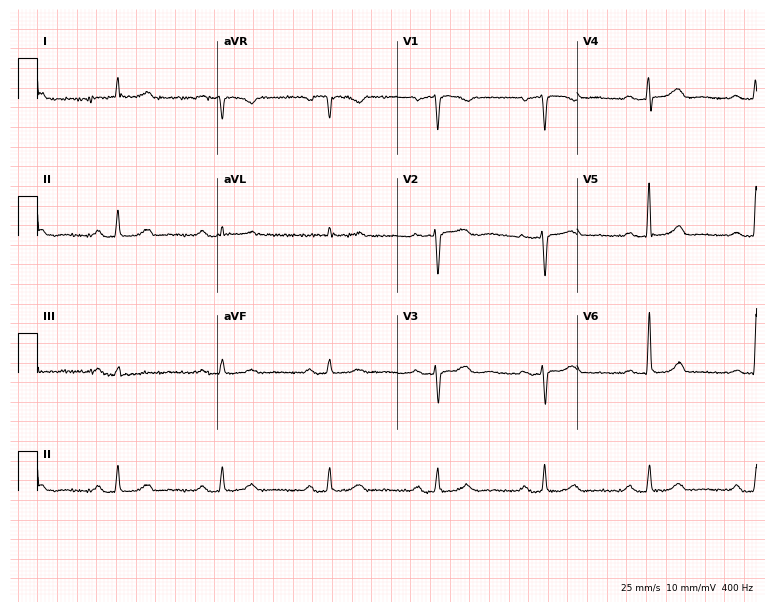
12-lead ECG from a 54-year-old female patient. Findings include first-degree AV block.